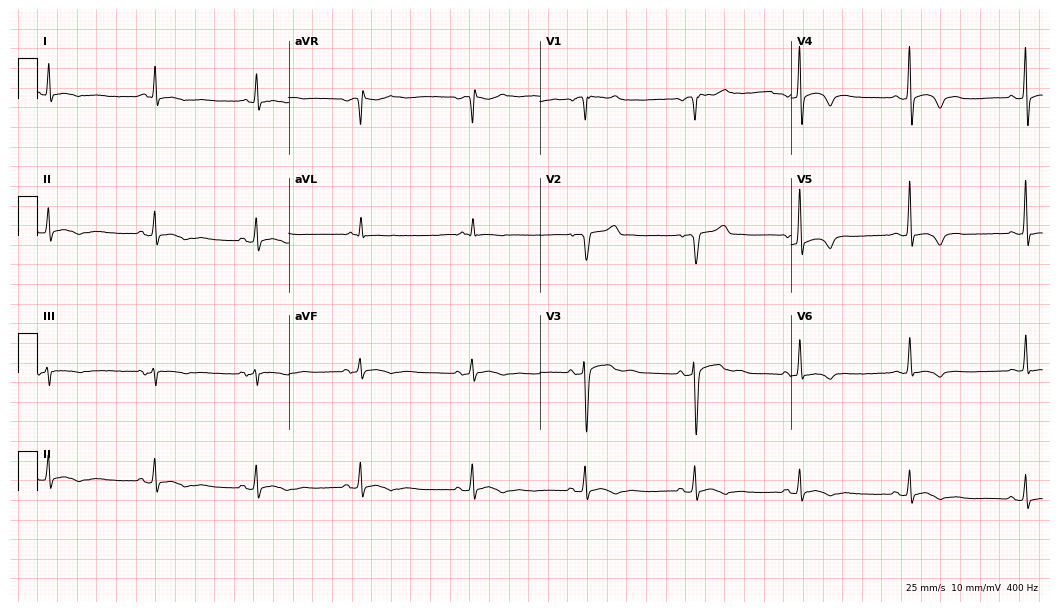
12-lead ECG from a male, 39 years old. No first-degree AV block, right bundle branch block (RBBB), left bundle branch block (LBBB), sinus bradycardia, atrial fibrillation (AF) or sinus tachycardia recorded for this tracing. Only these six findings were labelled.